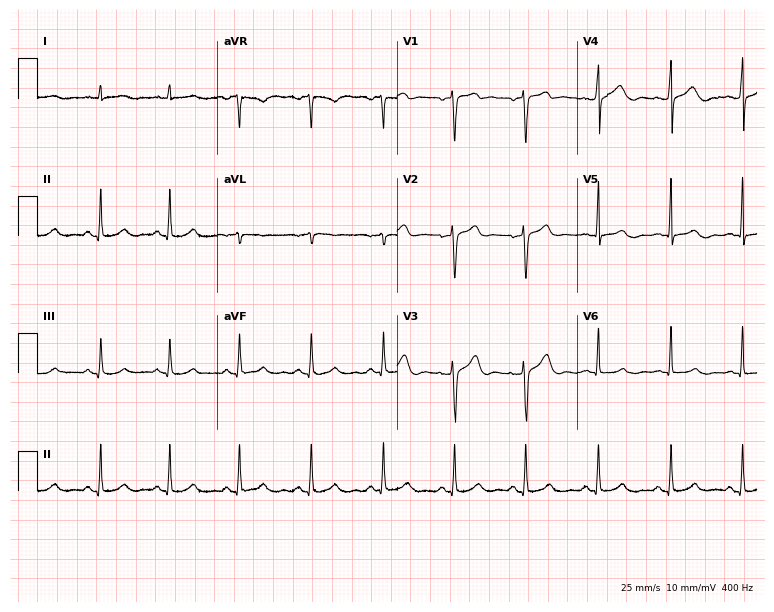
Resting 12-lead electrocardiogram (7.3-second recording at 400 Hz). Patient: a 53-year-old man. Read as a normal ECG.